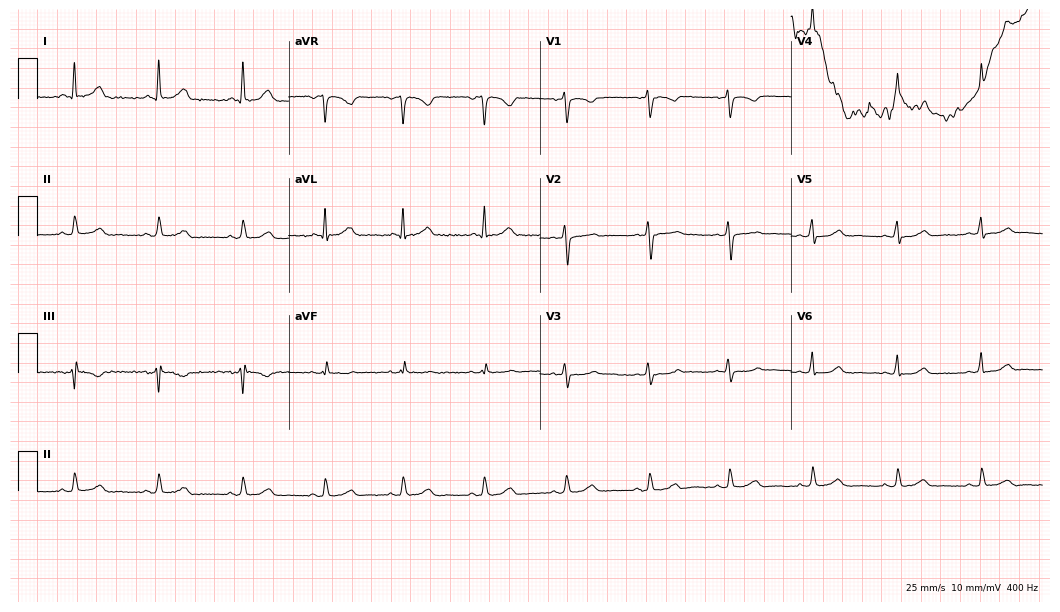
ECG — a female, 41 years old. Labelled as a normal ECG.